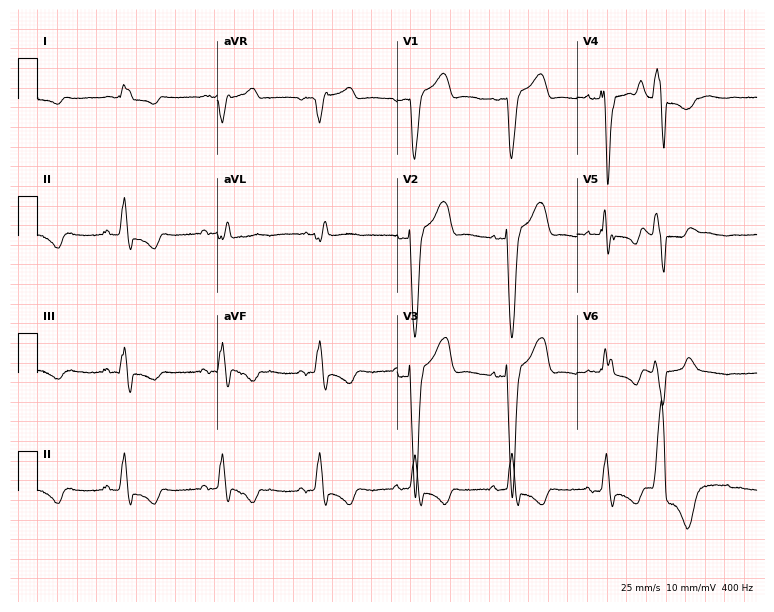
Electrocardiogram, a 76-year-old man. Interpretation includes left bundle branch block (LBBB).